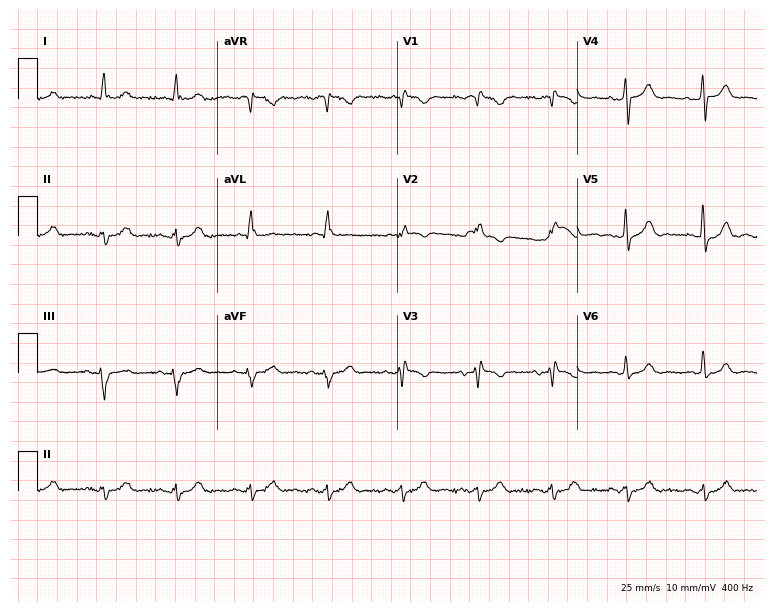
Resting 12-lead electrocardiogram. Patient: a 79-year-old male. None of these six findings is recorded: first-degree AV block, right bundle branch block (RBBB), left bundle branch block (LBBB), sinus bradycardia, atrial fibrillation (AF), sinus tachycardia. Only these six findings were labelled.